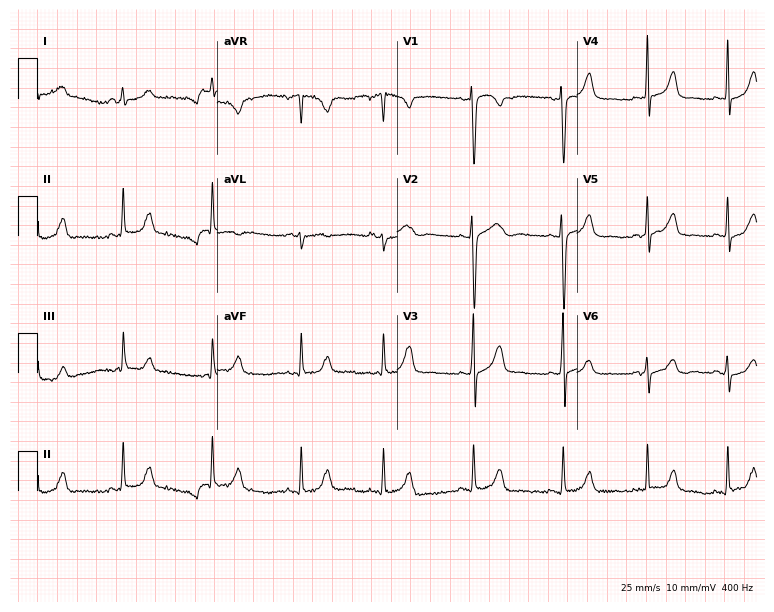
12-lead ECG from a 23-year-old female patient. Labelled as a normal ECG.